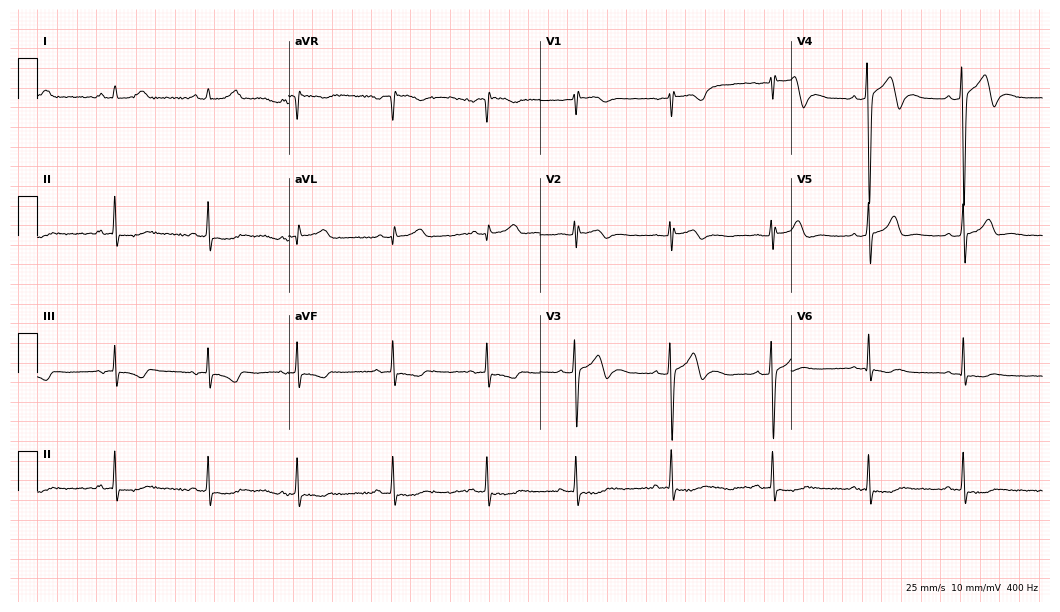
ECG — a 24-year-old male patient. Screened for six findings — first-degree AV block, right bundle branch block (RBBB), left bundle branch block (LBBB), sinus bradycardia, atrial fibrillation (AF), sinus tachycardia — none is recorded. Other findings, if any, are not listed.